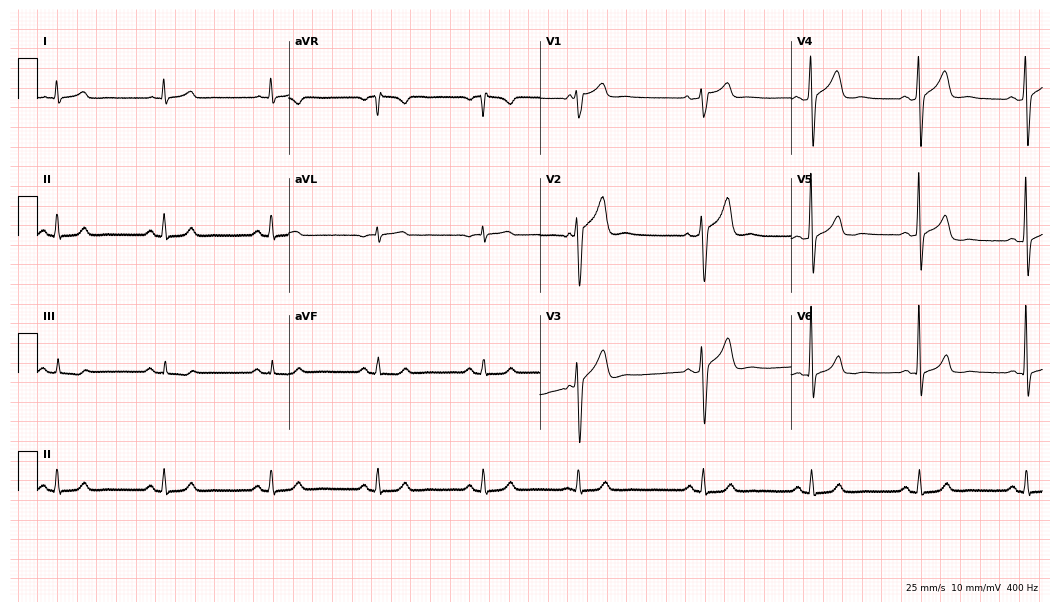
Resting 12-lead electrocardiogram. Patient: a male, 76 years old. None of these six findings is recorded: first-degree AV block, right bundle branch block (RBBB), left bundle branch block (LBBB), sinus bradycardia, atrial fibrillation (AF), sinus tachycardia.